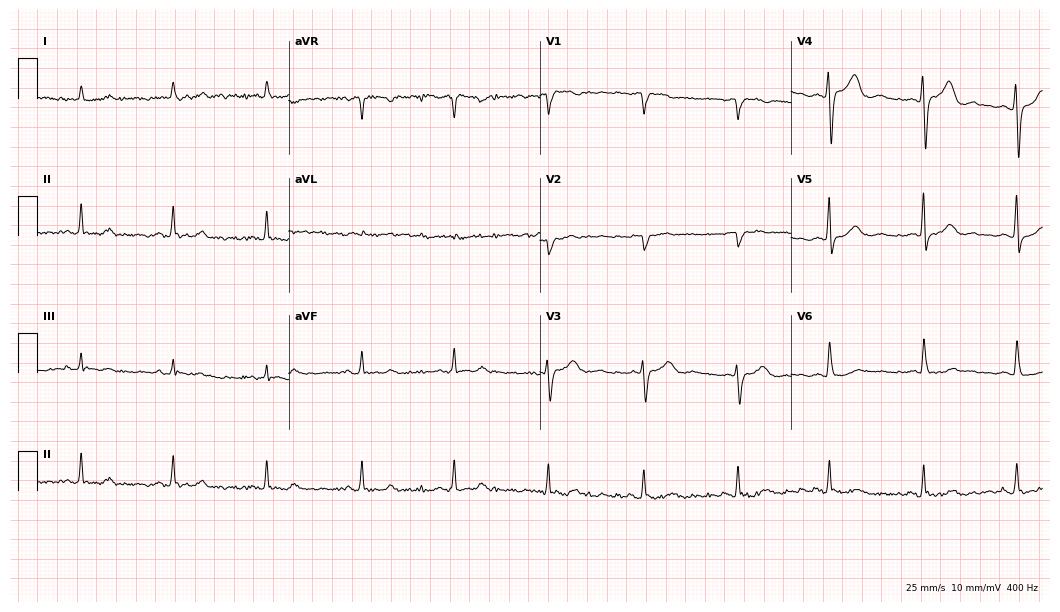
12-lead ECG from a 54-year-old woman. No first-degree AV block, right bundle branch block (RBBB), left bundle branch block (LBBB), sinus bradycardia, atrial fibrillation (AF) or sinus tachycardia recorded for this tracing. Findings outside these six are not listed.